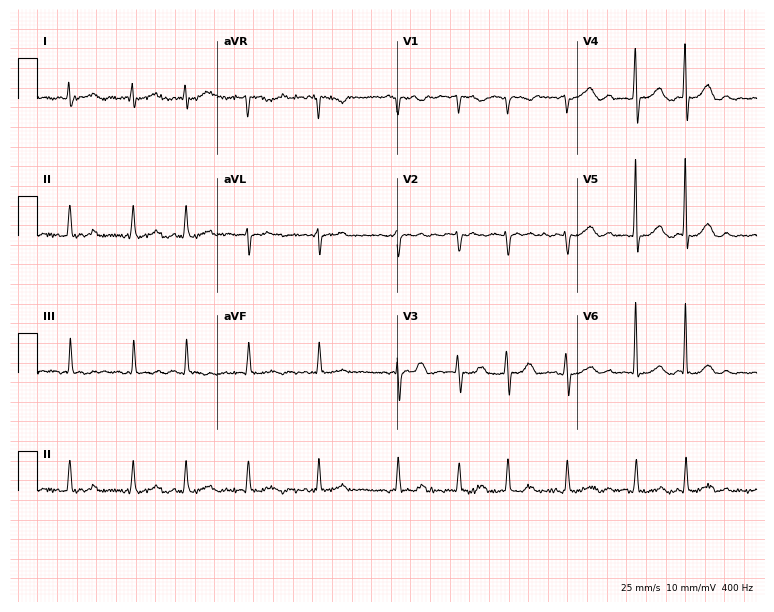
Electrocardiogram, a female, 63 years old. Interpretation includes atrial fibrillation.